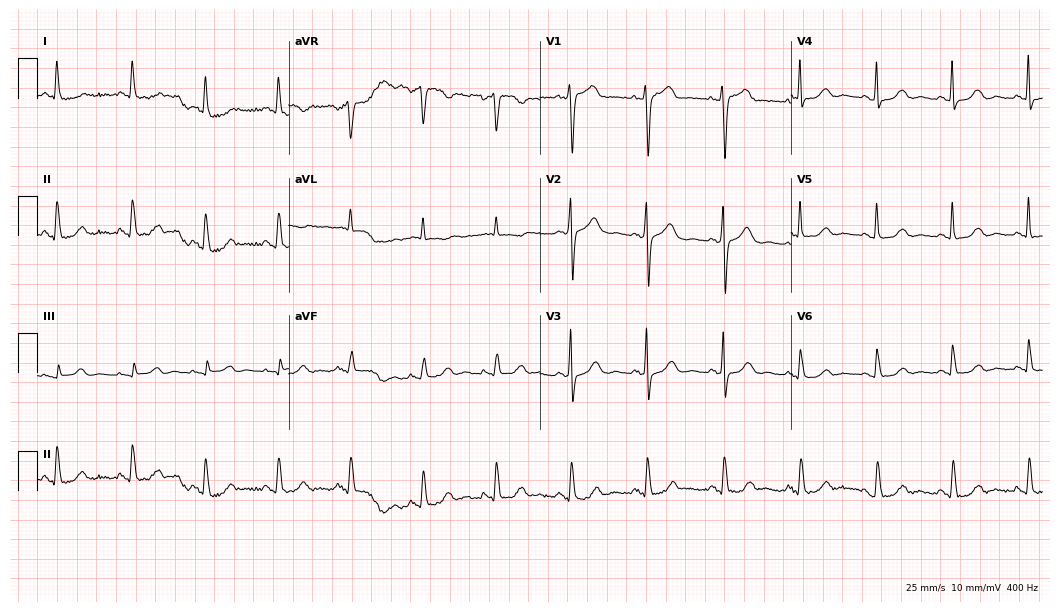
Electrocardiogram, a woman, 64 years old. Overall reading on record: normal ECG.